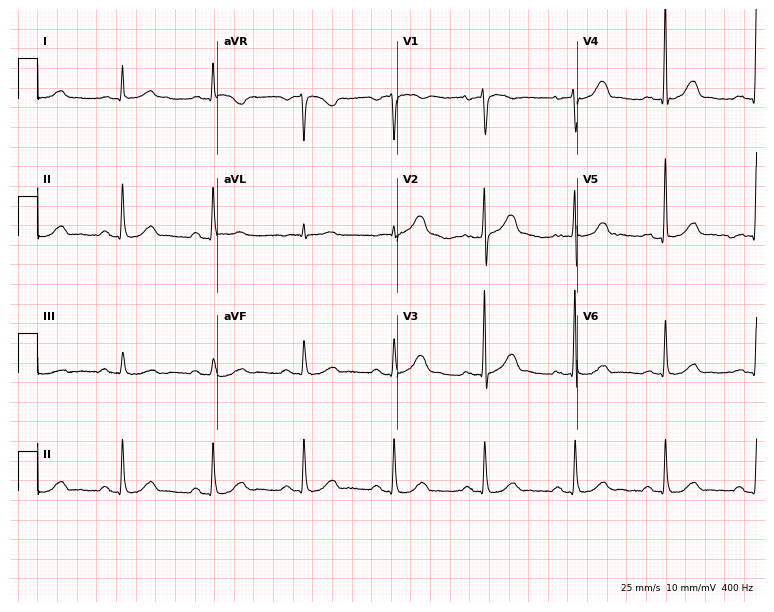
12-lead ECG (7.3-second recording at 400 Hz) from a 75-year-old male patient. Labelled as a normal ECG.